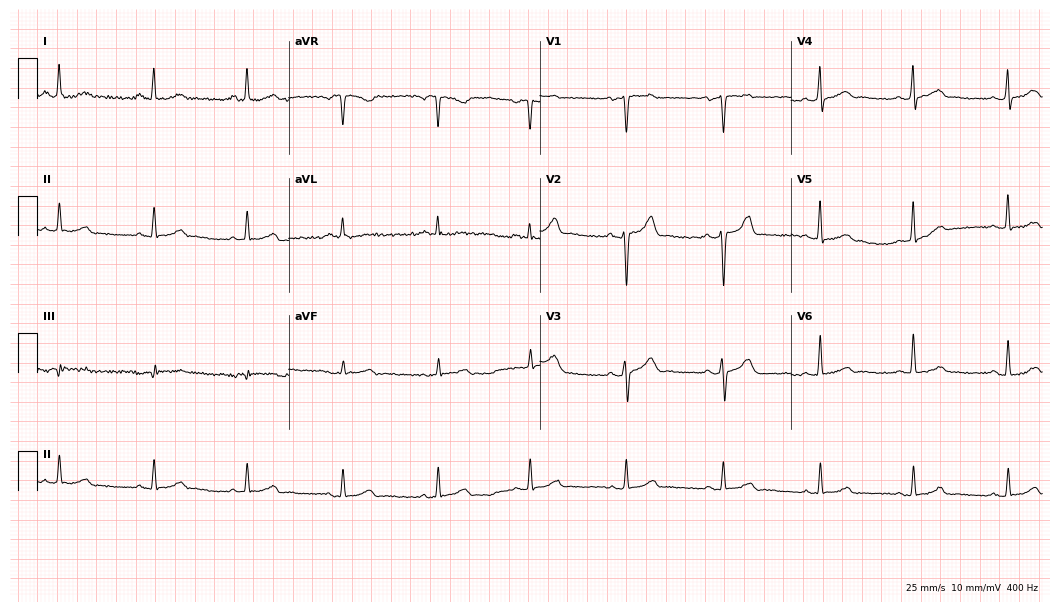
Electrocardiogram, a 45-year-old man. Overall reading on record: normal ECG.